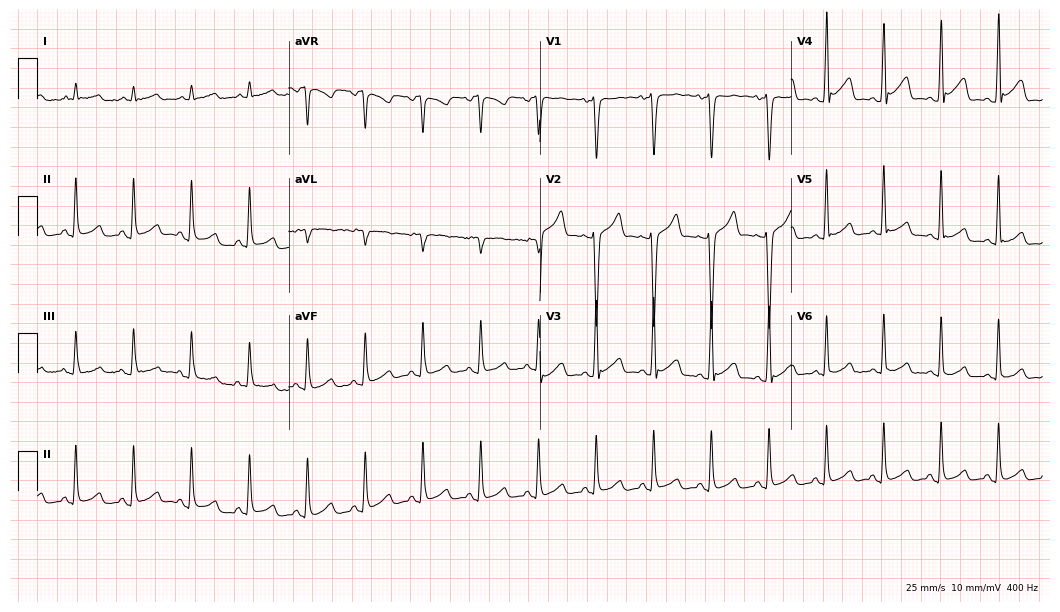
ECG (10.2-second recording at 400 Hz) — a male, 38 years old. Findings include sinus tachycardia (a sinus rate of 100 beats per minute or more).